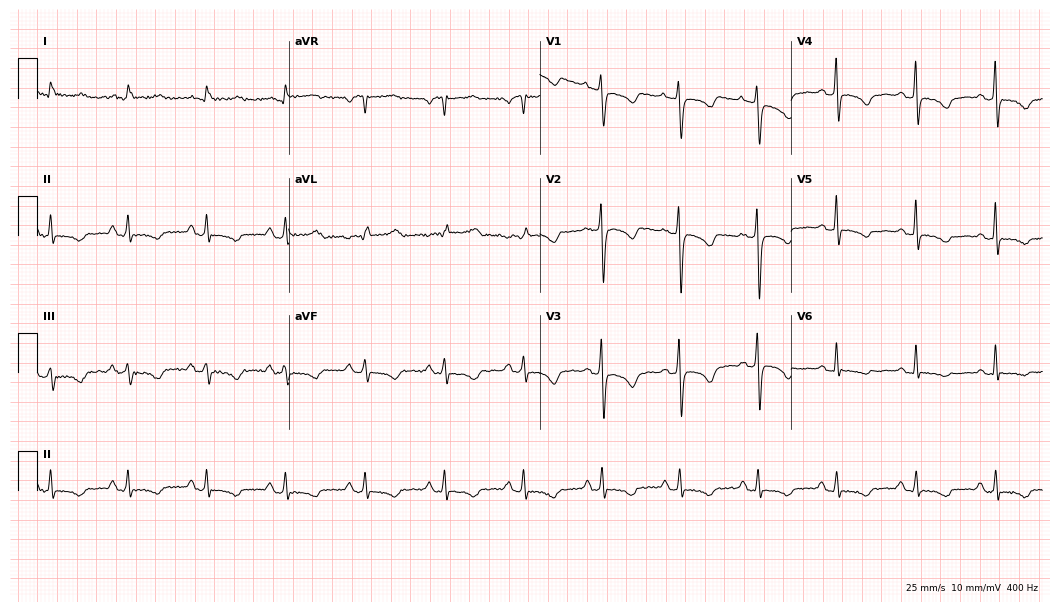
Electrocardiogram (10.2-second recording at 400 Hz), a female patient, 85 years old. Of the six screened findings (first-degree AV block, right bundle branch block (RBBB), left bundle branch block (LBBB), sinus bradycardia, atrial fibrillation (AF), sinus tachycardia), none is recorded. Findings outside these six are not listed.